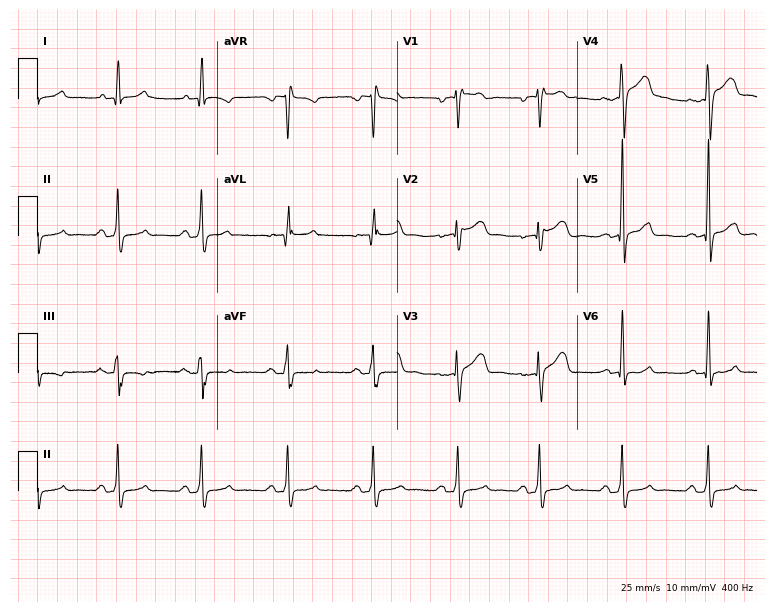
Standard 12-lead ECG recorded from a 51-year-old male patient (7.3-second recording at 400 Hz). Read as a normal ECG.